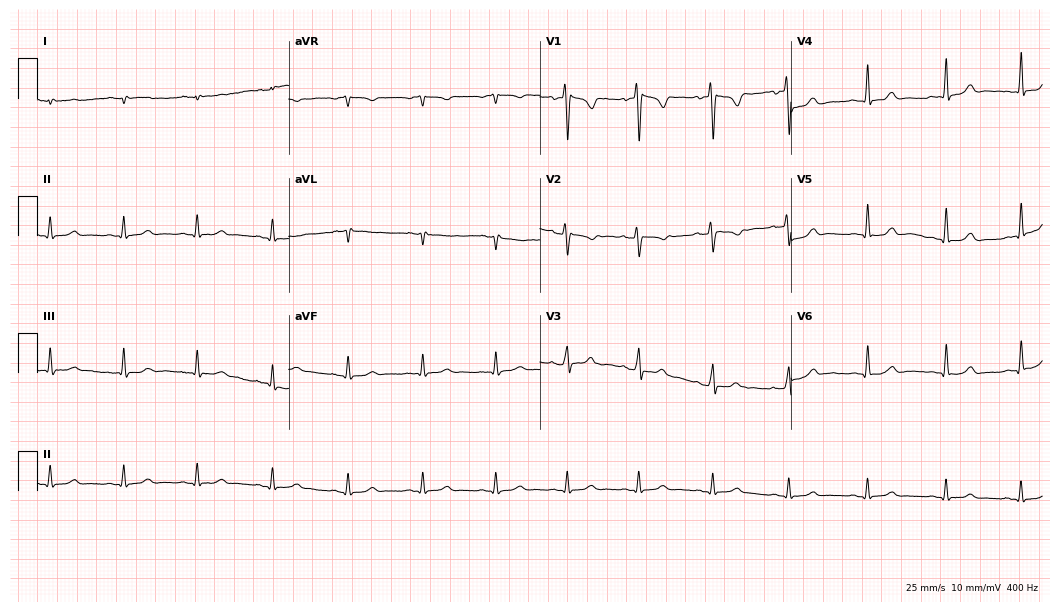
ECG (10.2-second recording at 400 Hz) — a female patient, 19 years old. Screened for six findings — first-degree AV block, right bundle branch block (RBBB), left bundle branch block (LBBB), sinus bradycardia, atrial fibrillation (AF), sinus tachycardia — none is recorded. Other findings, if any, are not listed.